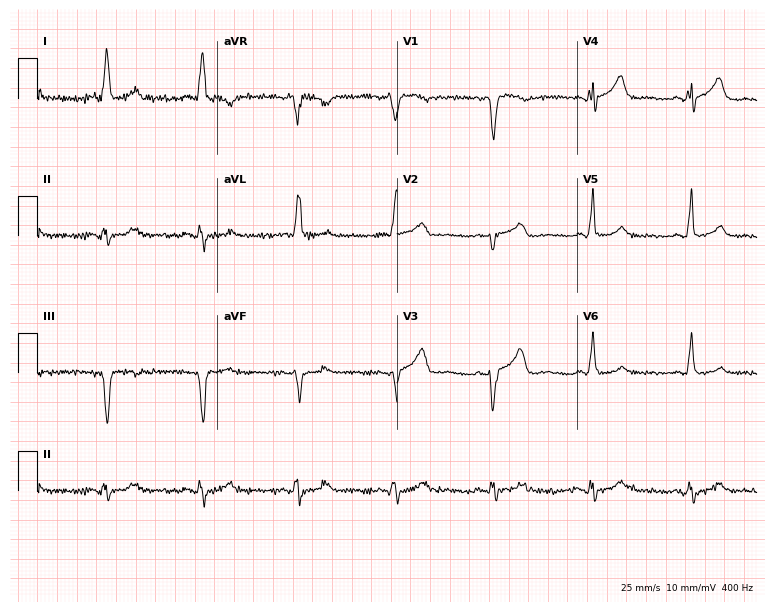
Electrocardiogram (7.3-second recording at 400 Hz), a female, 66 years old. Of the six screened findings (first-degree AV block, right bundle branch block, left bundle branch block, sinus bradycardia, atrial fibrillation, sinus tachycardia), none is recorded. Only these six findings were labelled.